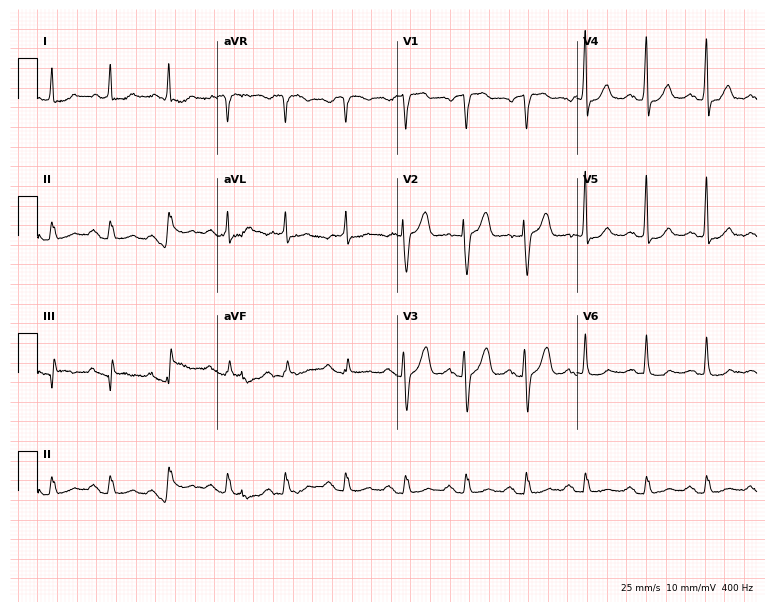
Electrocardiogram (7.3-second recording at 400 Hz), a male patient, 78 years old. Of the six screened findings (first-degree AV block, right bundle branch block (RBBB), left bundle branch block (LBBB), sinus bradycardia, atrial fibrillation (AF), sinus tachycardia), none is recorded. Only these six findings were labelled.